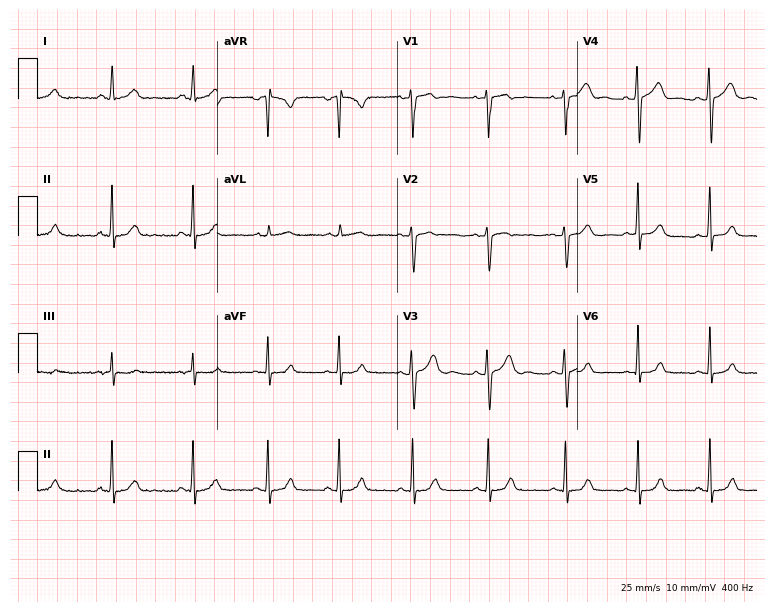
Resting 12-lead electrocardiogram (7.3-second recording at 400 Hz). Patient: a female, 23 years old. Read as a normal ECG.